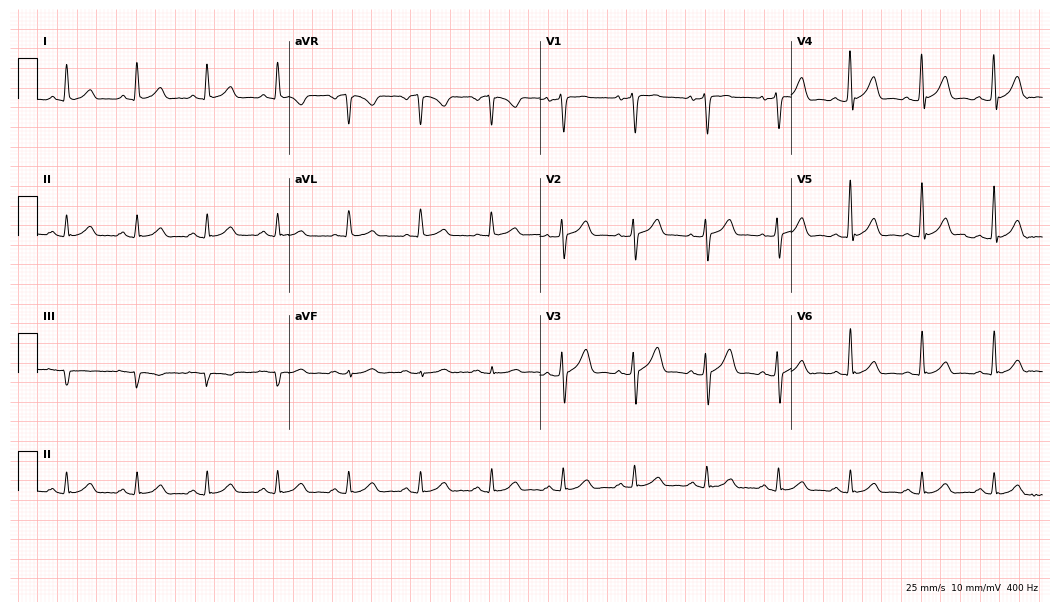
12-lead ECG from a man, 41 years old (10.2-second recording at 400 Hz). Recorded interpretation: within normal limits.